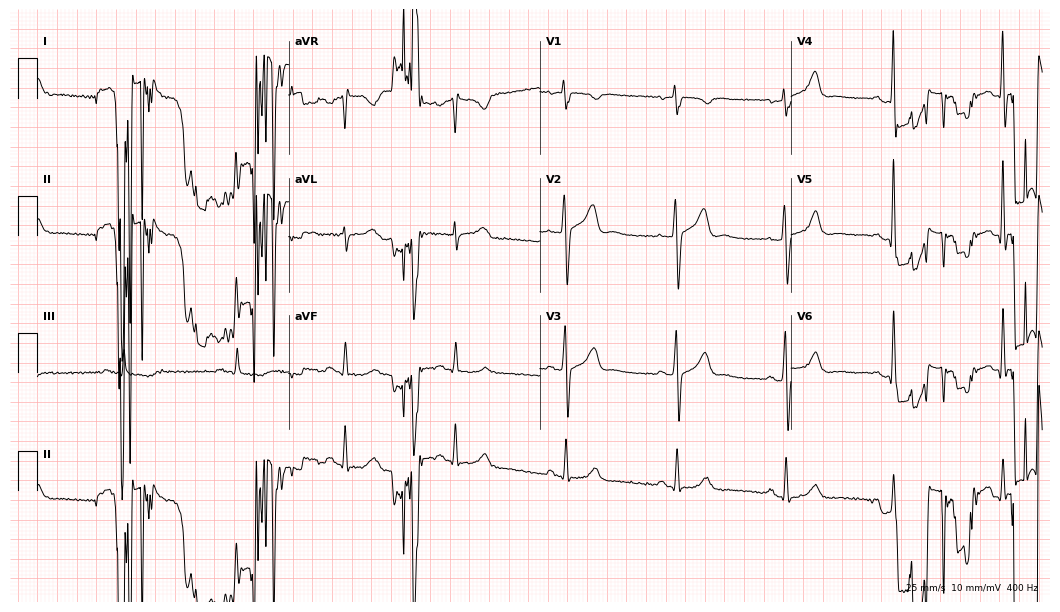
12-lead ECG (10.2-second recording at 400 Hz) from a 55-year-old male patient. Screened for six findings — first-degree AV block, right bundle branch block, left bundle branch block, sinus bradycardia, atrial fibrillation, sinus tachycardia — none is recorded. Findings outside these six are not listed.